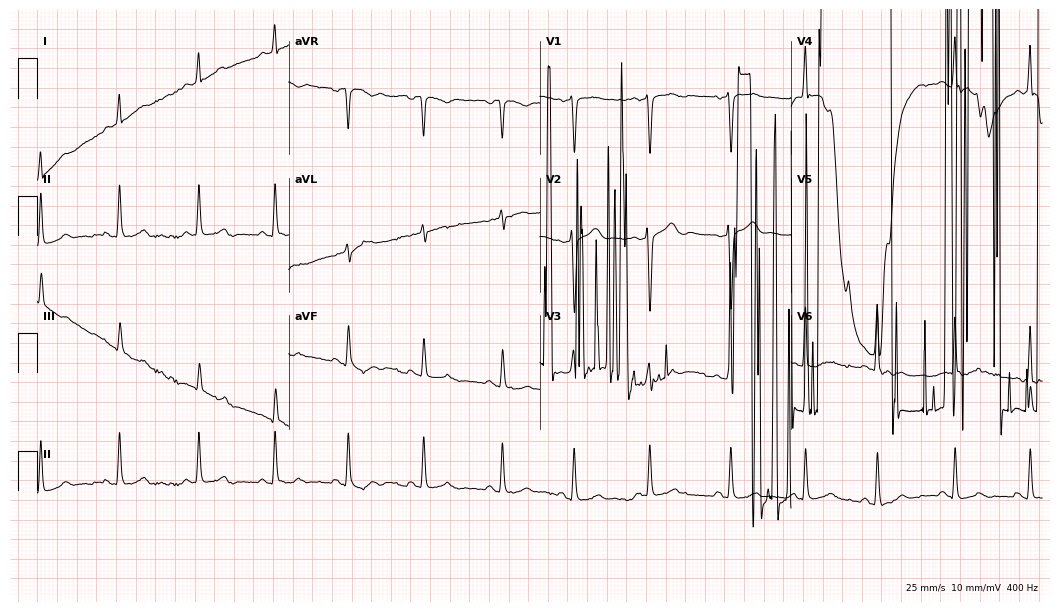
ECG (10.2-second recording at 400 Hz) — a 30-year-old male patient. Screened for six findings — first-degree AV block, right bundle branch block (RBBB), left bundle branch block (LBBB), sinus bradycardia, atrial fibrillation (AF), sinus tachycardia — none is recorded. Only these six findings were labelled.